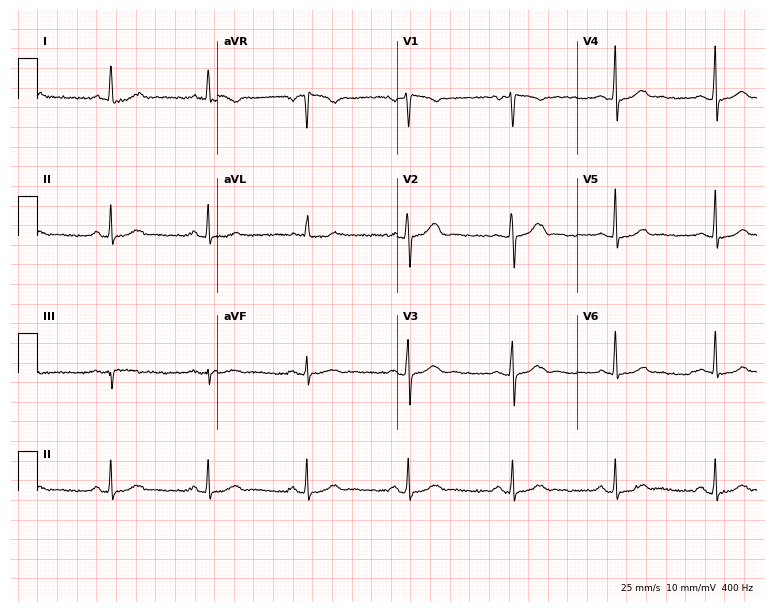
12-lead ECG (7.3-second recording at 400 Hz) from a 60-year-old female. Screened for six findings — first-degree AV block, right bundle branch block, left bundle branch block, sinus bradycardia, atrial fibrillation, sinus tachycardia — none is recorded.